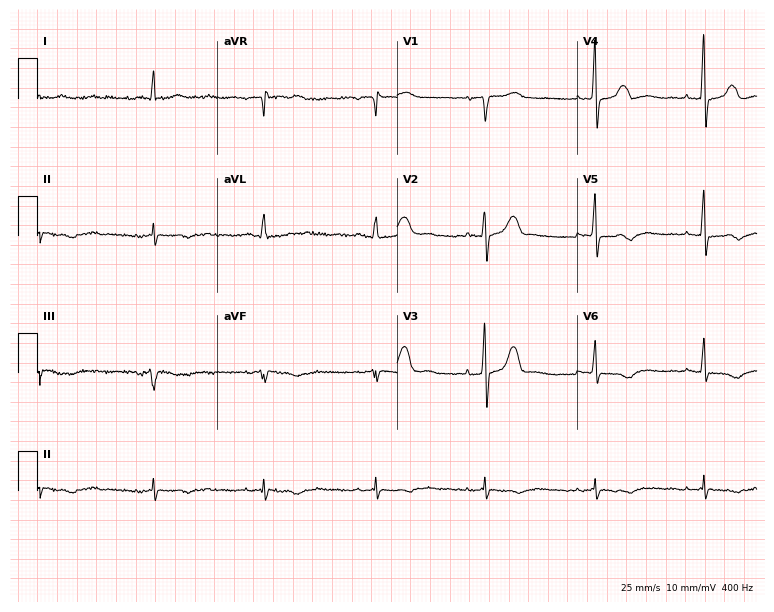
ECG (7.3-second recording at 400 Hz) — a female patient, 78 years old. Screened for six findings — first-degree AV block, right bundle branch block, left bundle branch block, sinus bradycardia, atrial fibrillation, sinus tachycardia — none is recorded. Other findings, if any, are not listed.